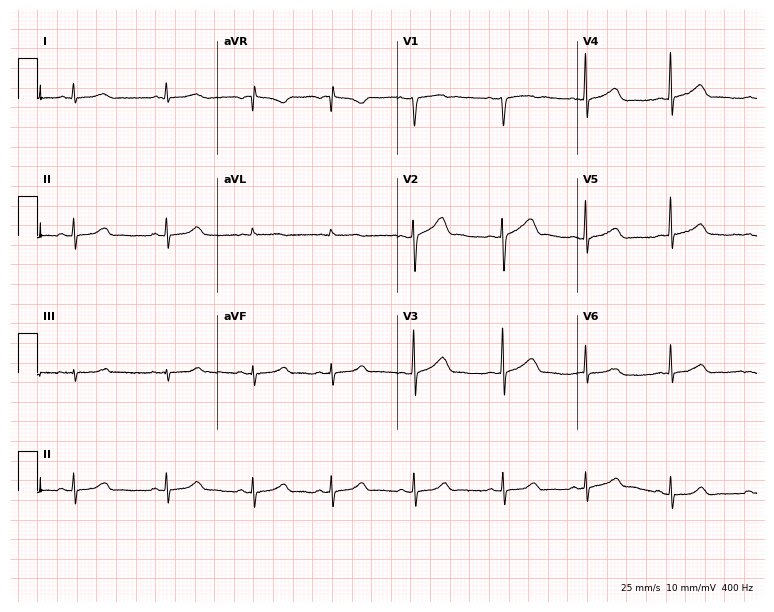
Standard 12-lead ECG recorded from a female patient, 34 years old. Read as a normal ECG.